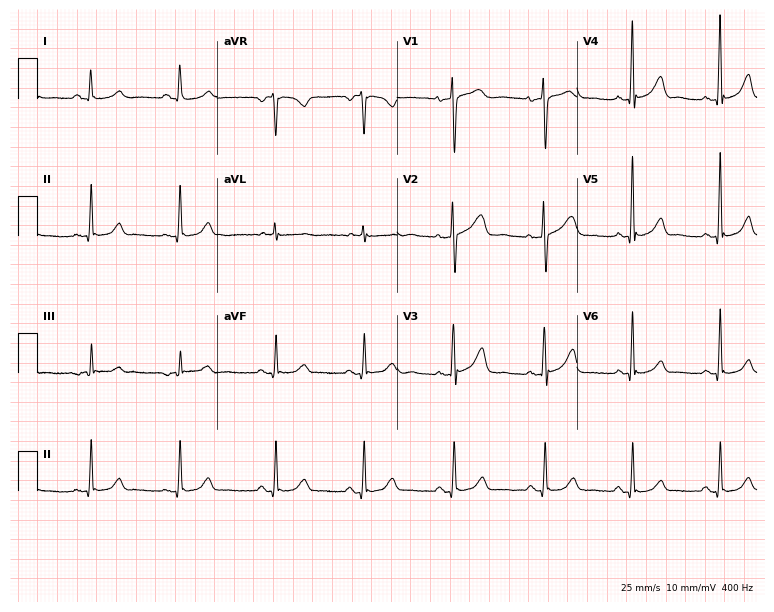
12-lead ECG from a woman, 53 years old. Recorded interpretation: within normal limits.